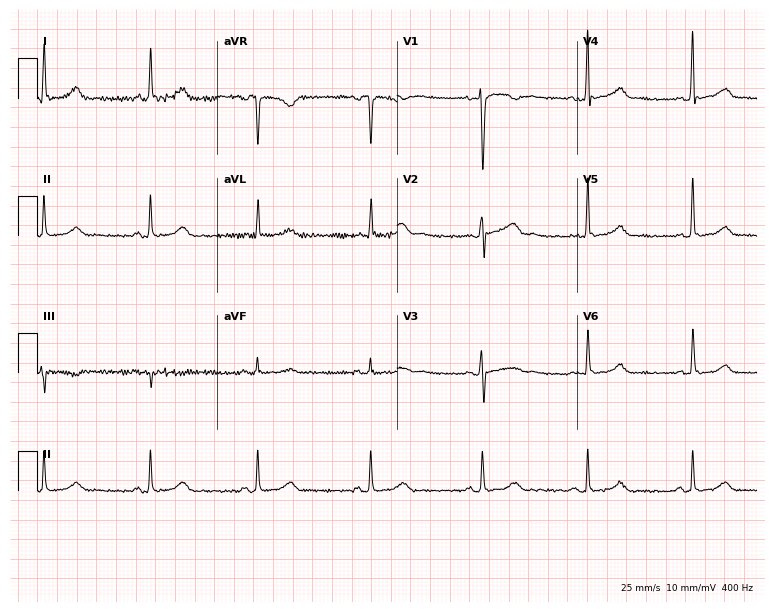
Standard 12-lead ECG recorded from a female, 48 years old (7.3-second recording at 400 Hz). None of these six findings is recorded: first-degree AV block, right bundle branch block, left bundle branch block, sinus bradycardia, atrial fibrillation, sinus tachycardia. Only these six findings were labelled.